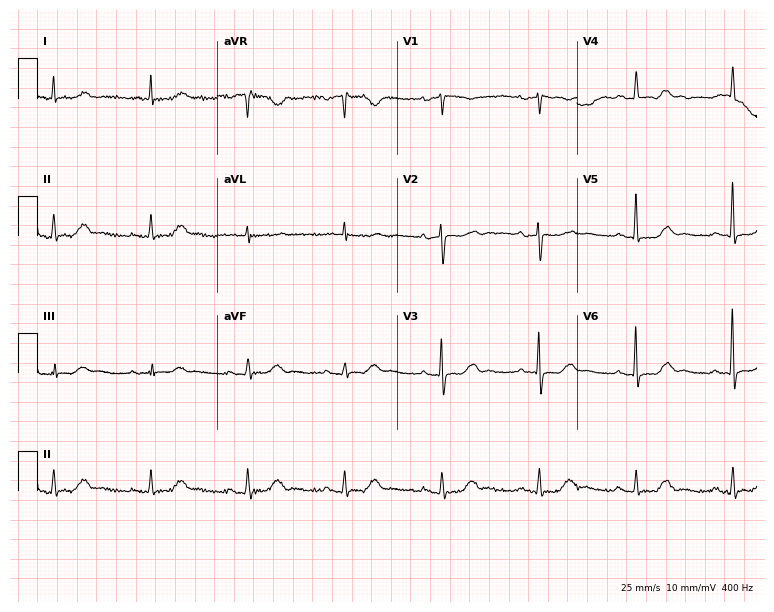
Resting 12-lead electrocardiogram. Patient: a woman, 83 years old. Read as a normal ECG.